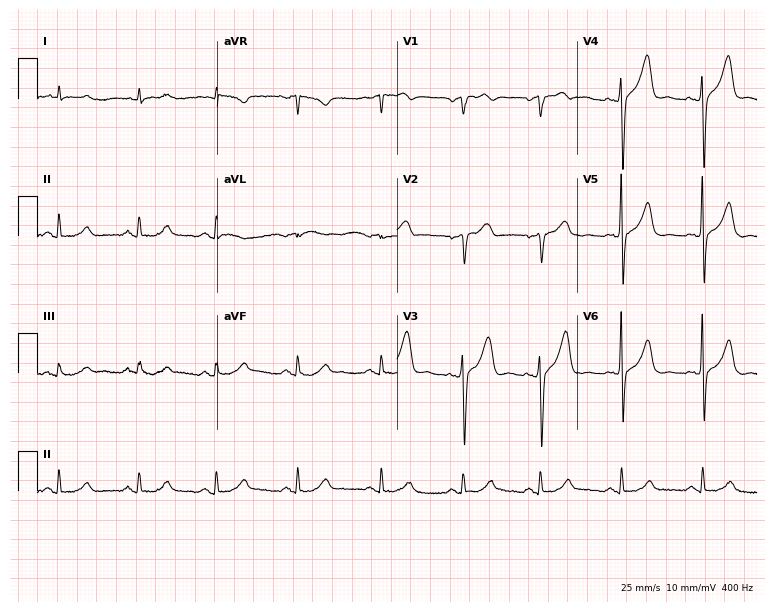
ECG (7.3-second recording at 400 Hz) — a 77-year-old male. Labelled as a normal ECG.